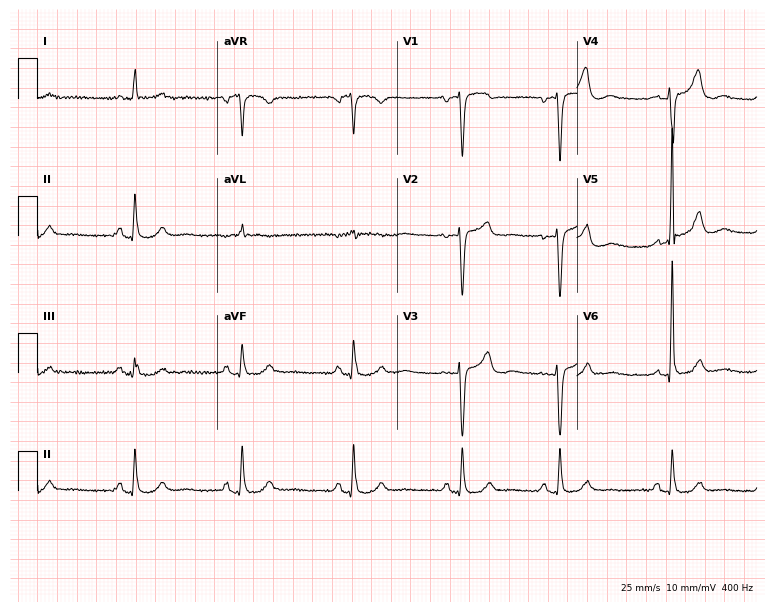
Standard 12-lead ECG recorded from a 74-year-old woman (7.3-second recording at 400 Hz). None of these six findings is recorded: first-degree AV block, right bundle branch block (RBBB), left bundle branch block (LBBB), sinus bradycardia, atrial fibrillation (AF), sinus tachycardia.